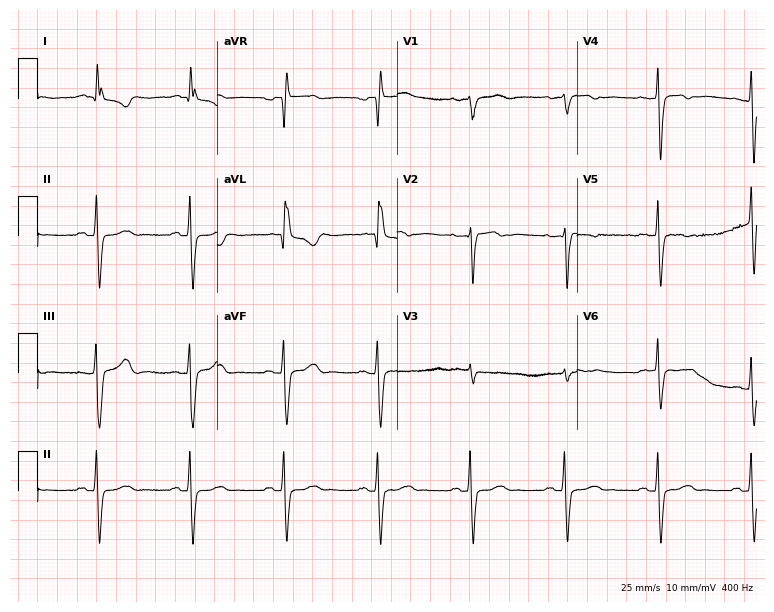
12-lead ECG from a woman, 82 years old. Screened for six findings — first-degree AV block, right bundle branch block, left bundle branch block, sinus bradycardia, atrial fibrillation, sinus tachycardia — none is recorded. Findings outside these six are not listed.